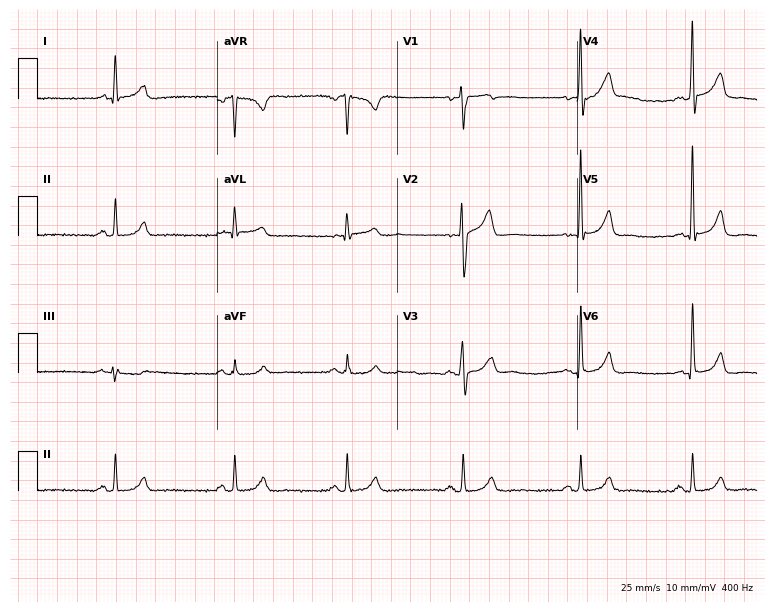
12-lead ECG from a man, 46 years old. Screened for six findings — first-degree AV block, right bundle branch block (RBBB), left bundle branch block (LBBB), sinus bradycardia, atrial fibrillation (AF), sinus tachycardia — none is recorded. Findings outside these six are not listed.